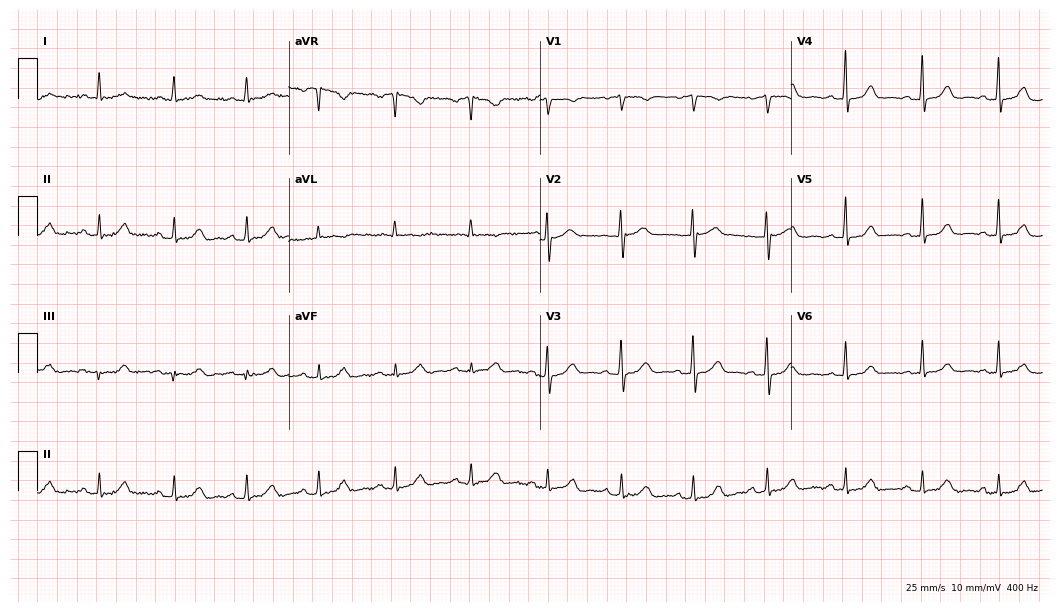
Standard 12-lead ECG recorded from a 71-year-old female (10.2-second recording at 400 Hz). Read as a normal ECG.